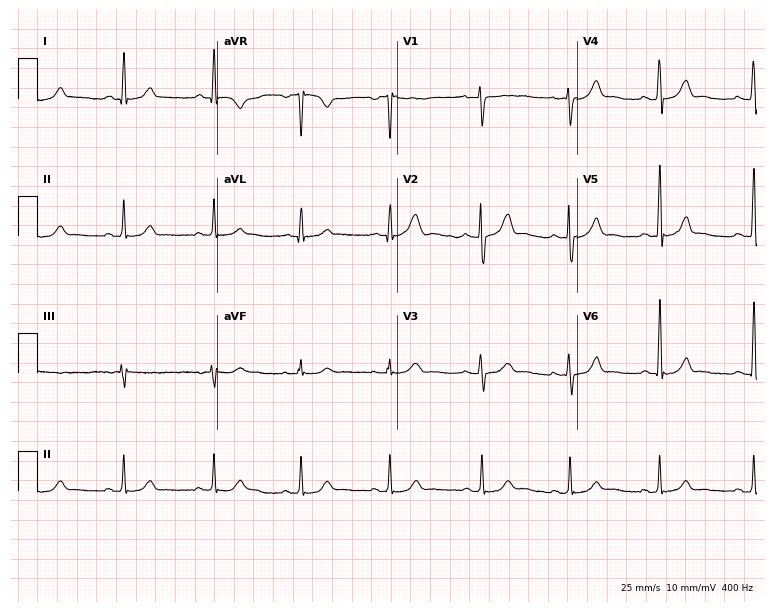
Standard 12-lead ECG recorded from a male, 37 years old. Read as a normal ECG.